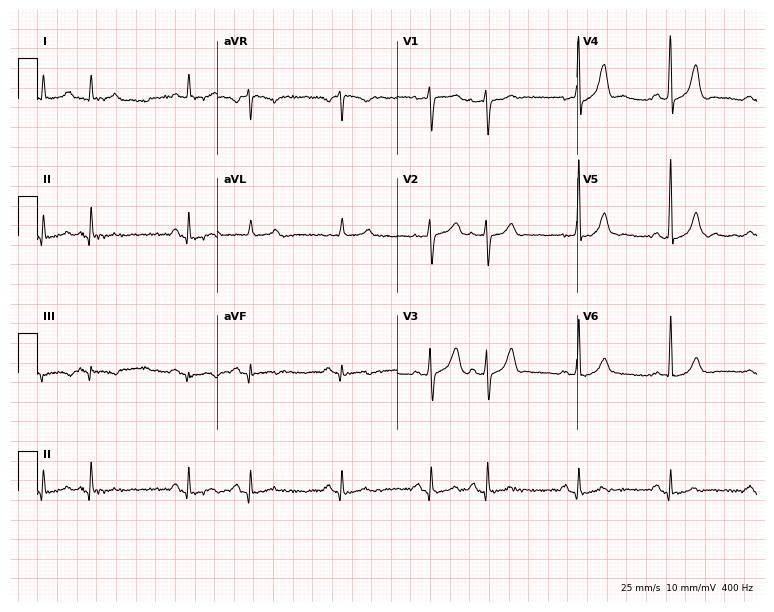
Standard 12-lead ECG recorded from a man, 78 years old. None of these six findings is recorded: first-degree AV block, right bundle branch block (RBBB), left bundle branch block (LBBB), sinus bradycardia, atrial fibrillation (AF), sinus tachycardia.